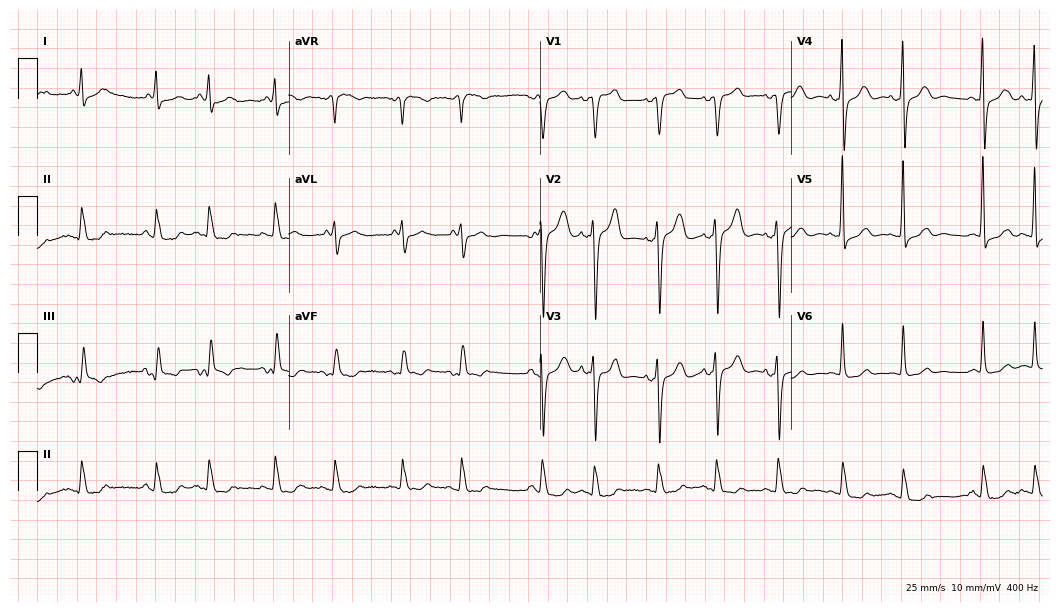
Electrocardiogram (10.2-second recording at 400 Hz), a 74-year-old woman. Of the six screened findings (first-degree AV block, right bundle branch block, left bundle branch block, sinus bradycardia, atrial fibrillation, sinus tachycardia), none is recorded.